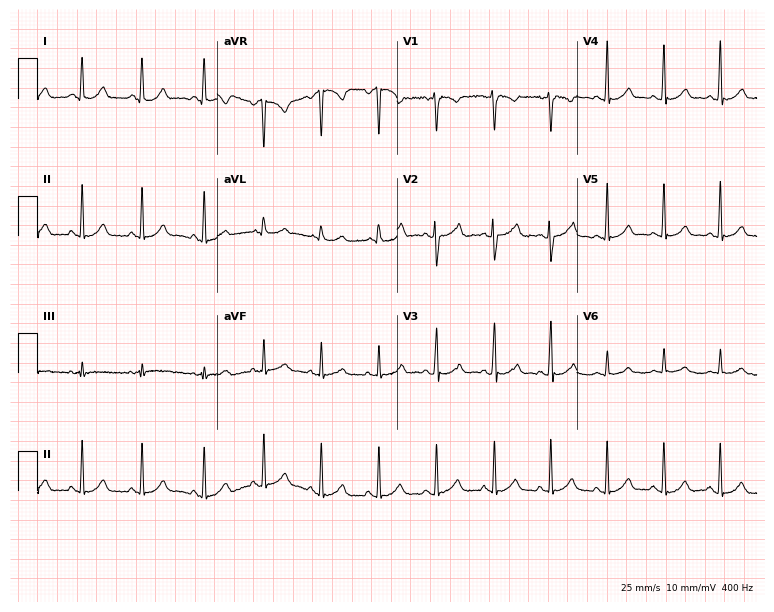
Standard 12-lead ECG recorded from a female, 25 years old. None of these six findings is recorded: first-degree AV block, right bundle branch block (RBBB), left bundle branch block (LBBB), sinus bradycardia, atrial fibrillation (AF), sinus tachycardia.